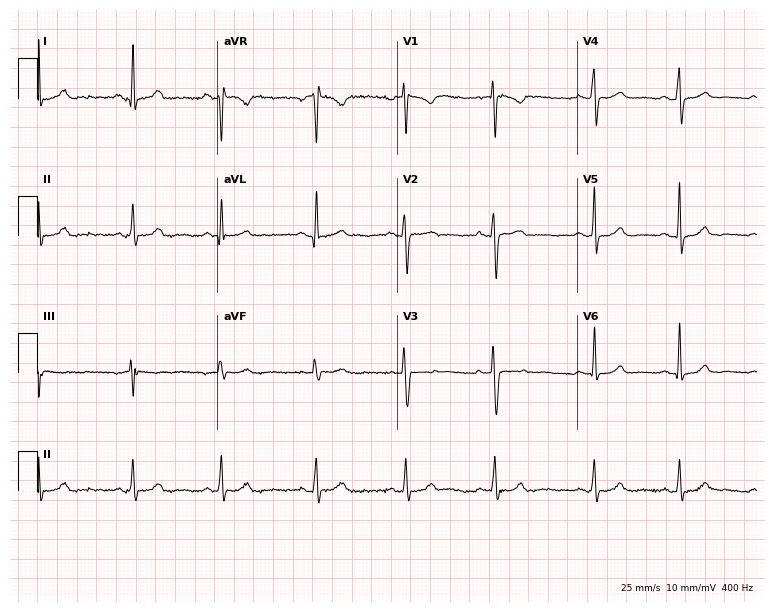
Standard 12-lead ECG recorded from a 29-year-old female patient (7.3-second recording at 400 Hz). Read as a normal ECG.